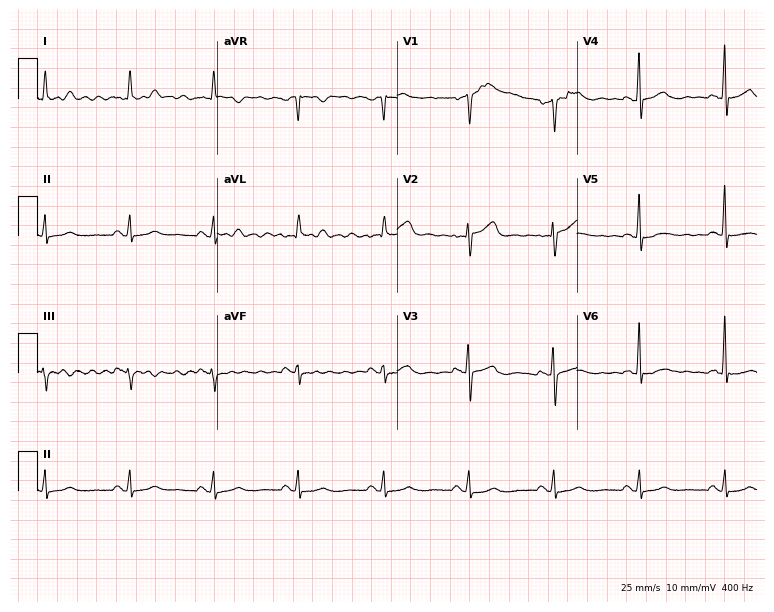
Resting 12-lead electrocardiogram. Patient: a female, 80 years old. None of these six findings is recorded: first-degree AV block, right bundle branch block, left bundle branch block, sinus bradycardia, atrial fibrillation, sinus tachycardia.